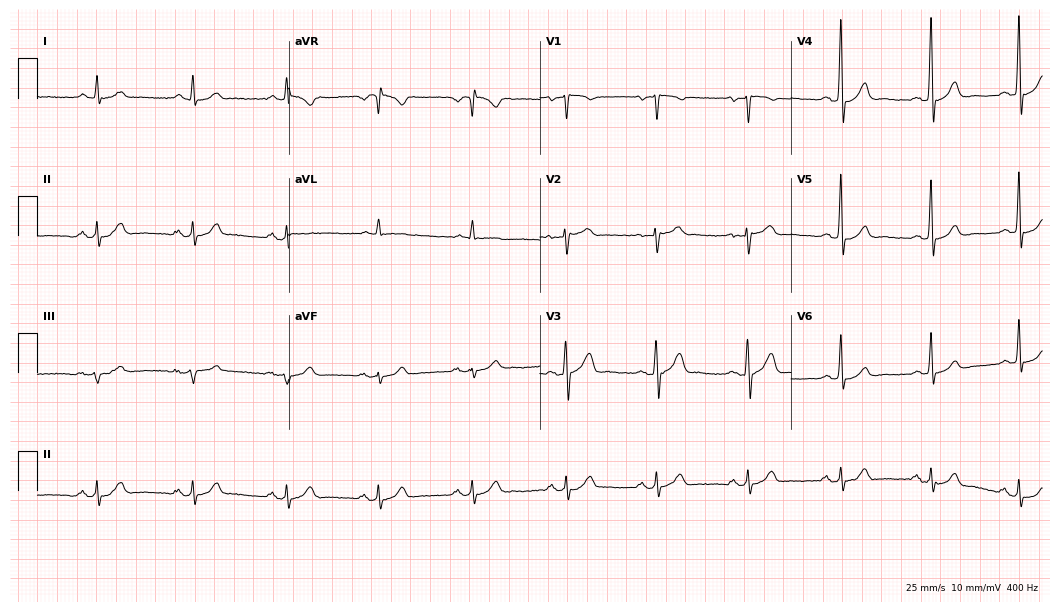
Resting 12-lead electrocardiogram (10.2-second recording at 400 Hz). Patient: a 45-year-old male. Read as a normal ECG.